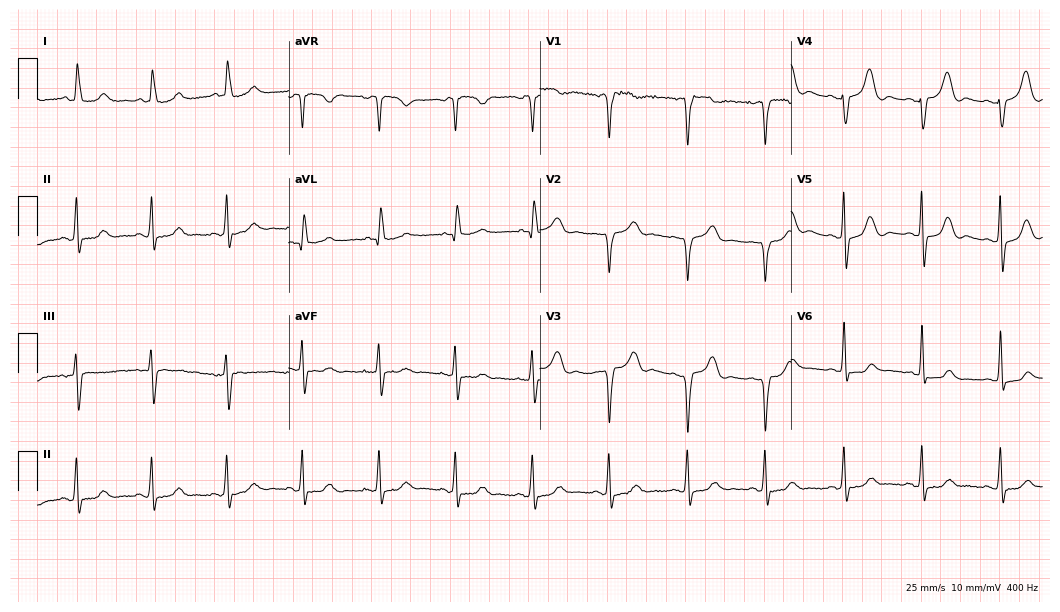
Standard 12-lead ECG recorded from a 69-year-old woman (10.2-second recording at 400 Hz). Read as a normal ECG.